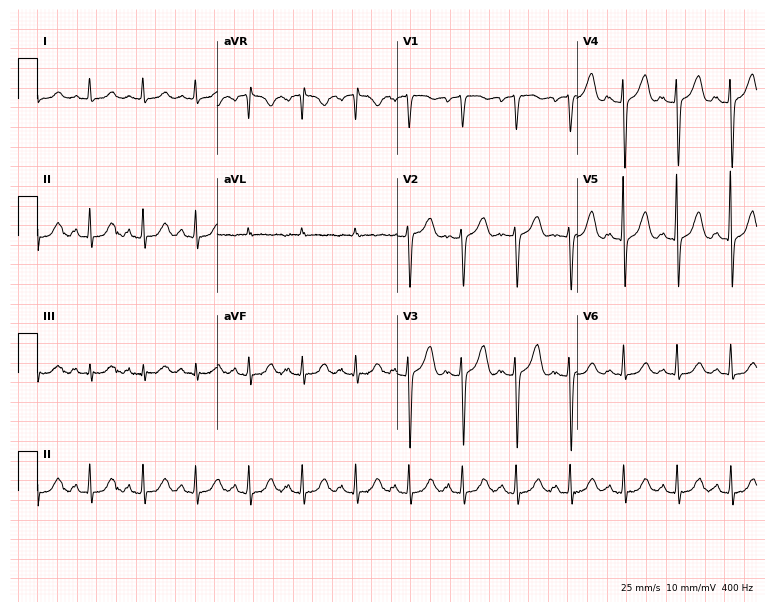
12-lead ECG from a female patient, 74 years old. No first-degree AV block, right bundle branch block, left bundle branch block, sinus bradycardia, atrial fibrillation or sinus tachycardia recorded for this tracing. Only these six findings were labelled.